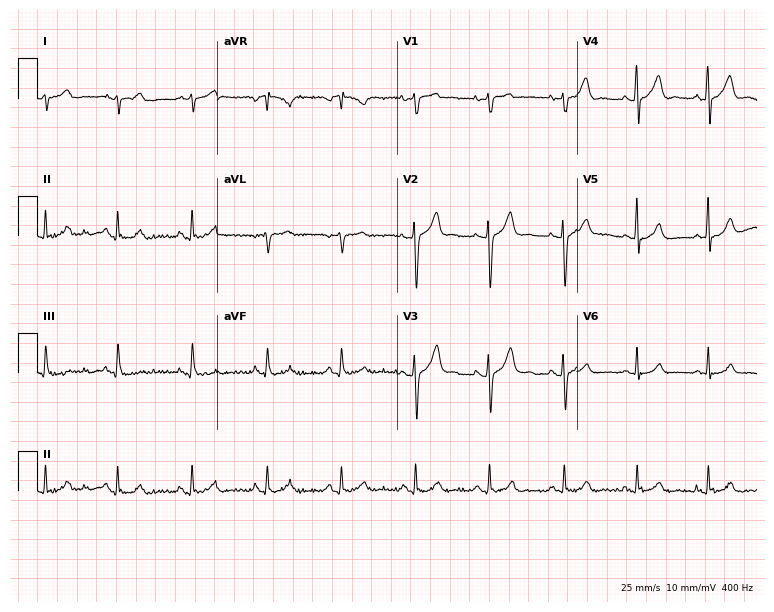
12-lead ECG from a 40-year-old man. Labelled as a normal ECG.